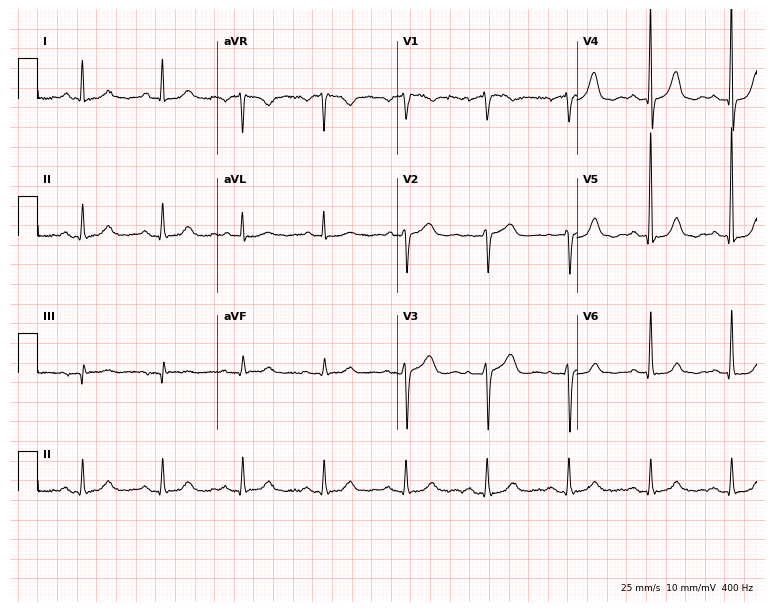
12-lead ECG (7.3-second recording at 400 Hz) from a female patient, 80 years old. Screened for six findings — first-degree AV block, right bundle branch block (RBBB), left bundle branch block (LBBB), sinus bradycardia, atrial fibrillation (AF), sinus tachycardia — none is recorded.